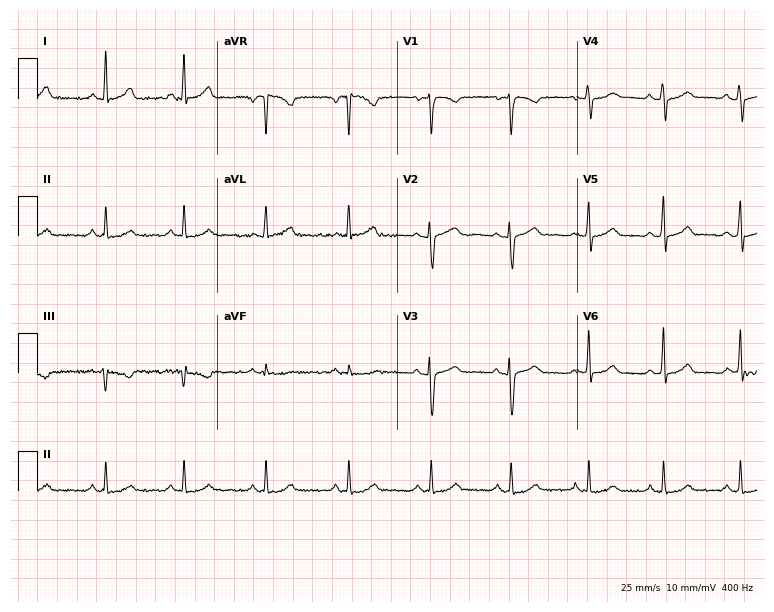
ECG — a woman, 33 years old. Screened for six findings — first-degree AV block, right bundle branch block, left bundle branch block, sinus bradycardia, atrial fibrillation, sinus tachycardia — none is recorded.